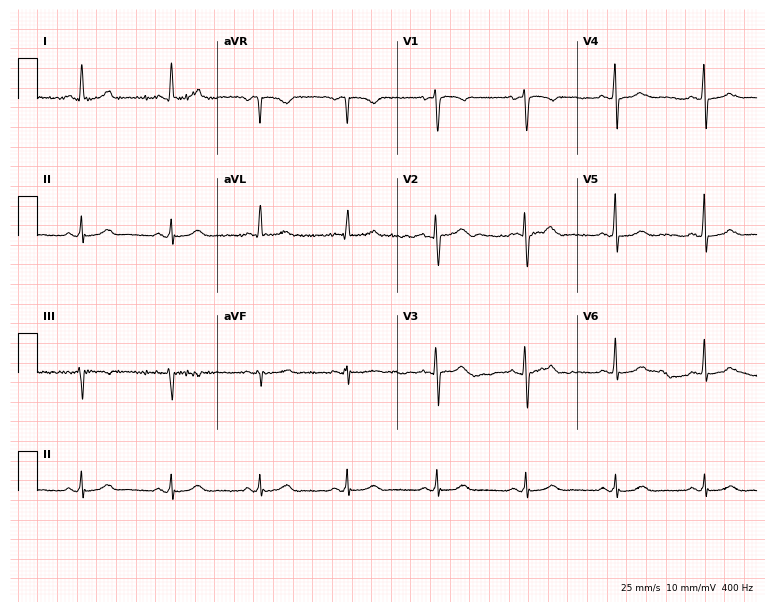
Electrocardiogram, a woman, 67 years old. Overall reading on record: normal ECG.